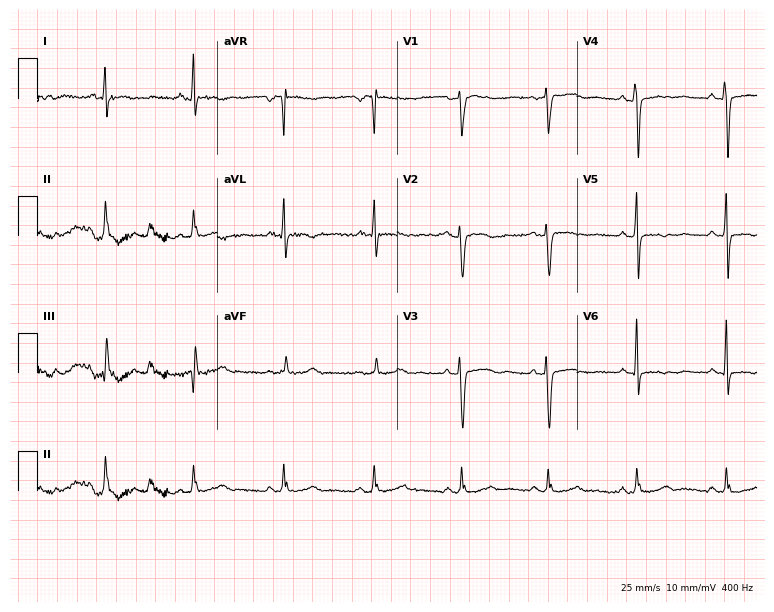
Electrocardiogram (7.3-second recording at 400 Hz), a female patient, 64 years old. Of the six screened findings (first-degree AV block, right bundle branch block (RBBB), left bundle branch block (LBBB), sinus bradycardia, atrial fibrillation (AF), sinus tachycardia), none is recorded.